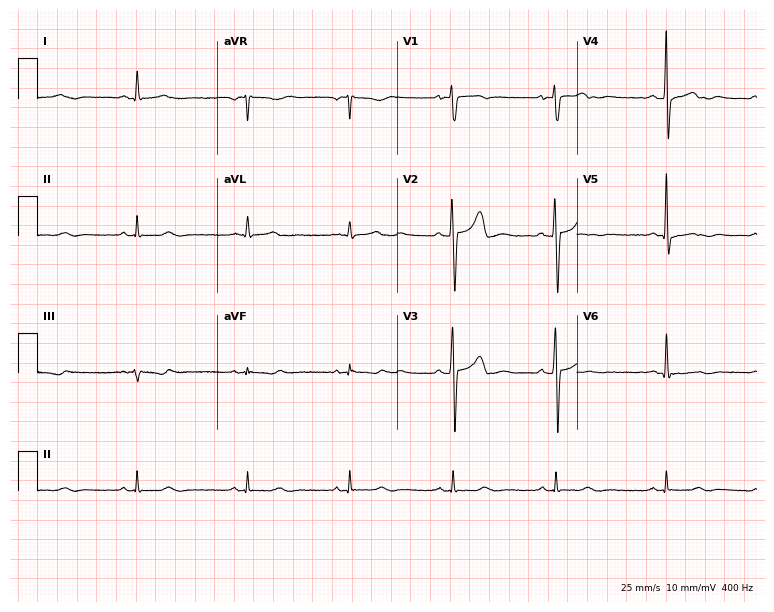
12-lead ECG from a male patient, 49 years old. Screened for six findings — first-degree AV block, right bundle branch block, left bundle branch block, sinus bradycardia, atrial fibrillation, sinus tachycardia — none is recorded. Other findings, if any, are not listed.